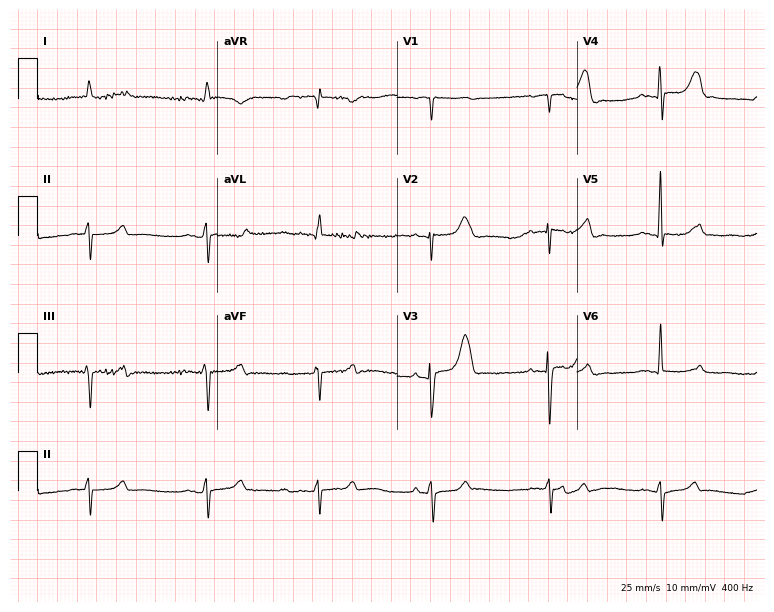
12-lead ECG from a man, 76 years old (7.3-second recording at 400 Hz). No first-degree AV block, right bundle branch block (RBBB), left bundle branch block (LBBB), sinus bradycardia, atrial fibrillation (AF) or sinus tachycardia recorded for this tracing.